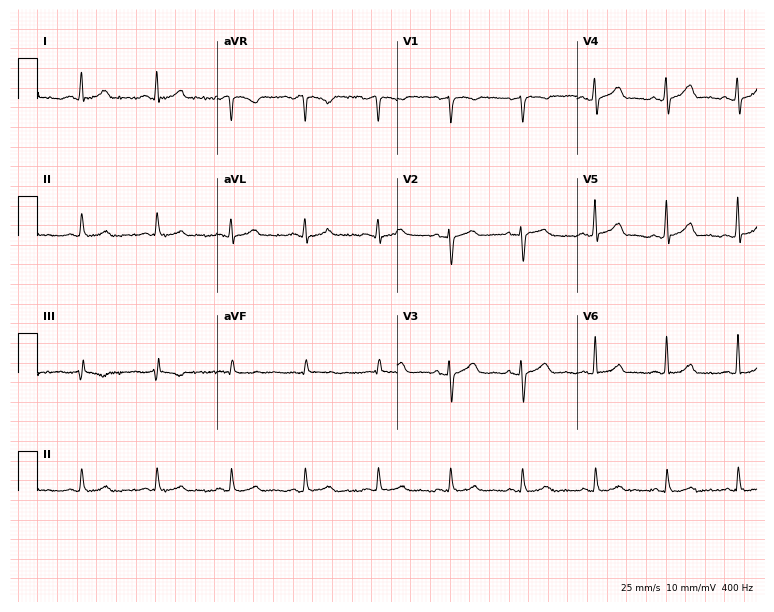
Standard 12-lead ECG recorded from a 34-year-old woman. None of these six findings is recorded: first-degree AV block, right bundle branch block, left bundle branch block, sinus bradycardia, atrial fibrillation, sinus tachycardia.